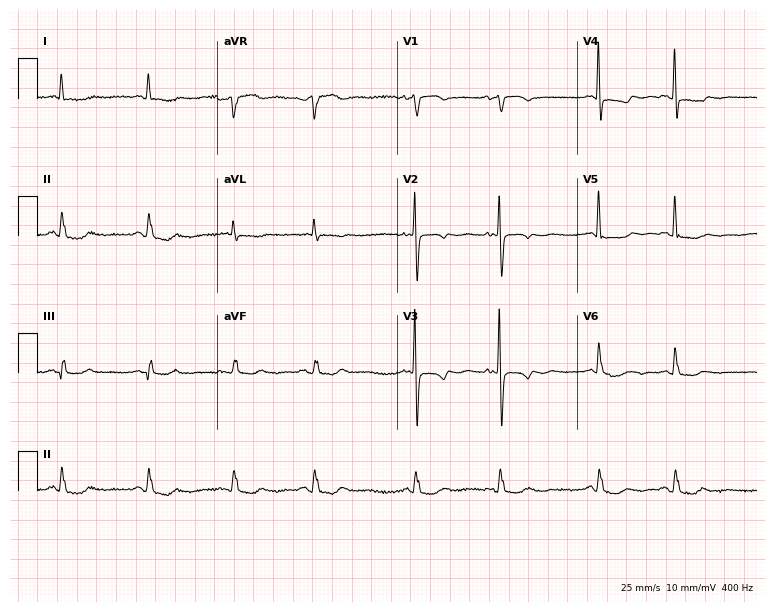
Electrocardiogram (7.3-second recording at 400 Hz), a female patient, 77 years old. Of the six screened findings (first-degree AV block, right bundle branch block (RBBB), left bundle branch block (LBBB), sinus bradycardia, atrial fibrillation (AF), sinus tachycardia), none is recorded. Findings outside these six are not listed.